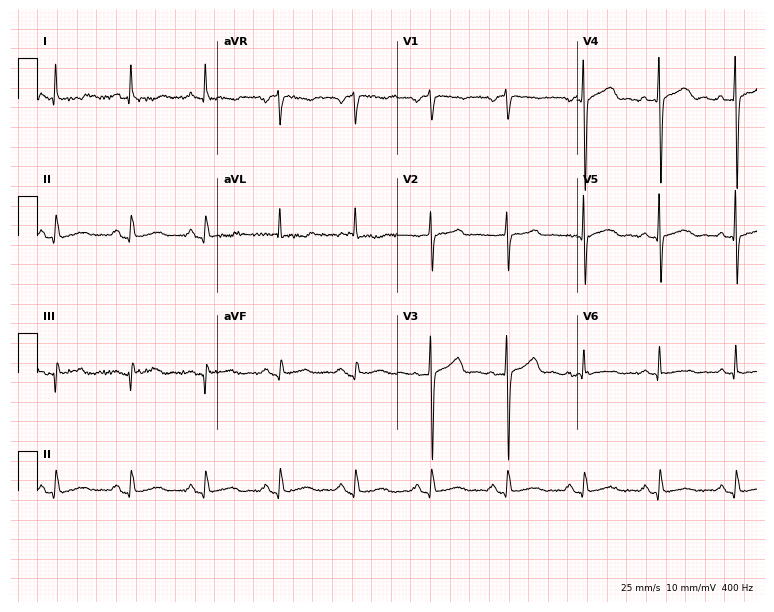
Electrocardiogram (7.3-second recording at 400 Hz), a female, 61 years old. Of the six screened findings (first-degree AV block, right bundle branch block, left bundle branch block, sinus bradycardia, atrial fibrillation, sinus tachycardia), none is recorded.